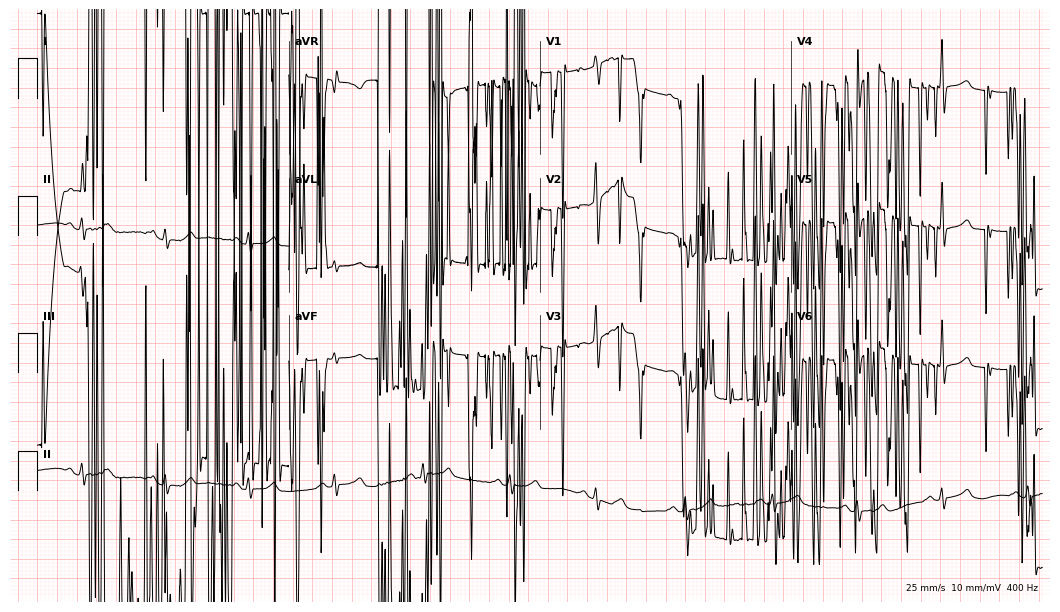
ECG — a male patient, 79 years old. Screened for six findings — first-degree AV block, right bundle branch block (RBBB), left bundle branch block (LBBB), sinus bradycardia, atrial fibrillation (AF), sinus tachycardia — none is recorded.